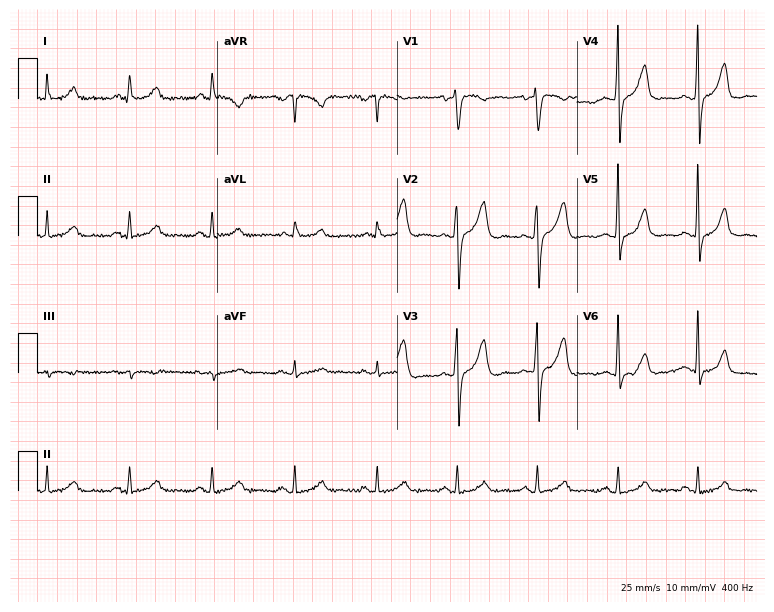
Standard 12-lead ECG recorded from a male, 70 years old. None of these six findings is recorded: first-degree AV block, right bundle branch block, left bundle branch block, sinus bradycardia, atrial fibrillation, sinus tachycardia. Findings outside these six are not listed.